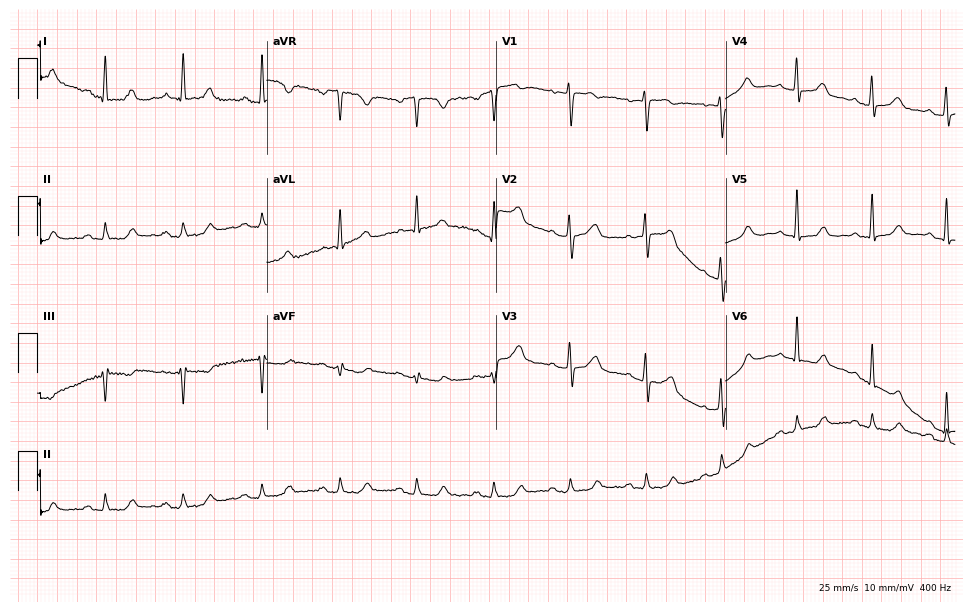
Resting 12-lead electrocardiogram (9.4-second recording at 400 Hz). Patient: a woman, 63 years old. Read as a normal ECG.